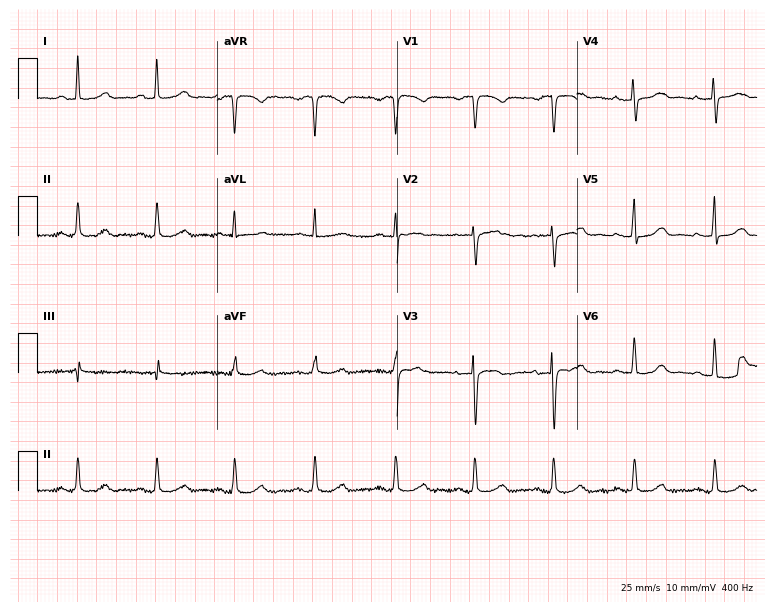
Resting 12-lead electrocardiogram. Patient: a female, 57 years old. Read as a normal ECG.